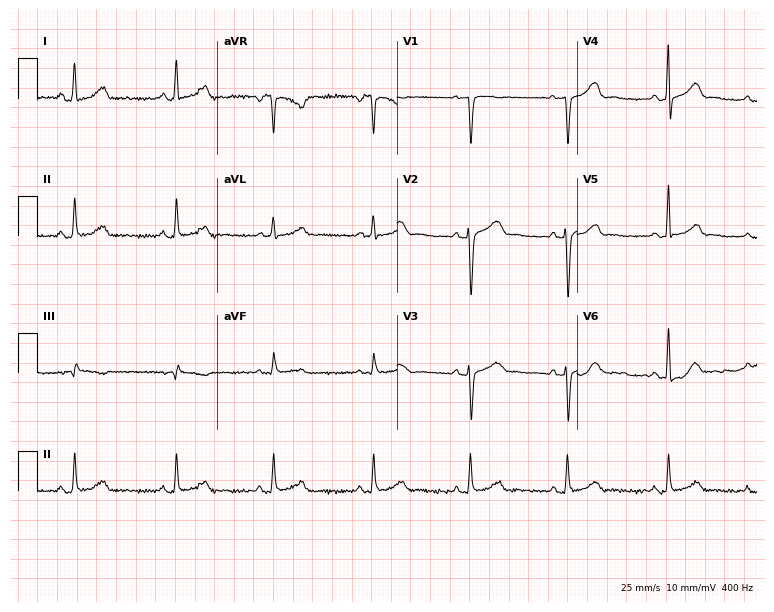
Electrocardiogram (7.3-second recording at 400 Hz), a 31-year-old female patient. Overall reading on record: normal ECG.